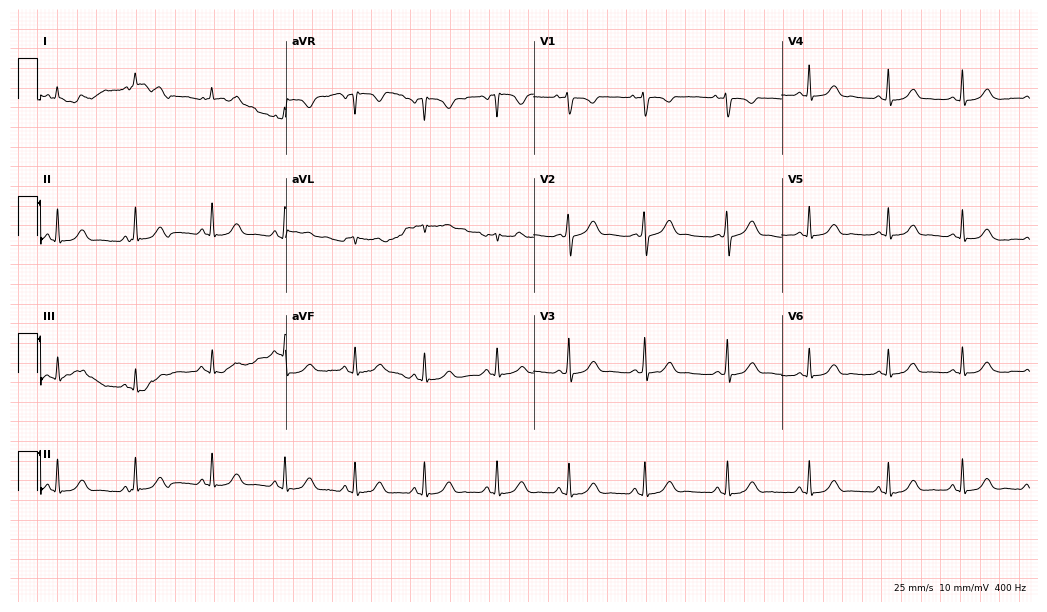
12-lead ECG (10.1-second recording at 400 Hz) from a woman, 26 years old. Screened for six findings — first-degree AV block, right bundle branch block (RBBB), left bundle branch block (LBBB), sinus bradycardia, atrial fibrillation (AF), sinus tachycardia — none is recorded.